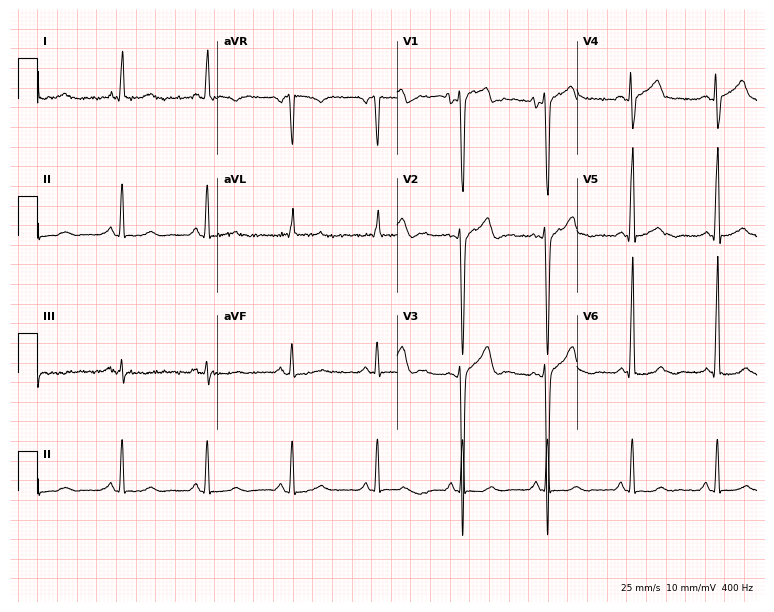
Standard 12-lead ECG recorded from a male patient, 81 years old. None of these six findings is recorded: first-degree AV block, right bundle branch block, left bundle branch block, sinus bradycardia, atrial fibrillation, sinus tachycardia.